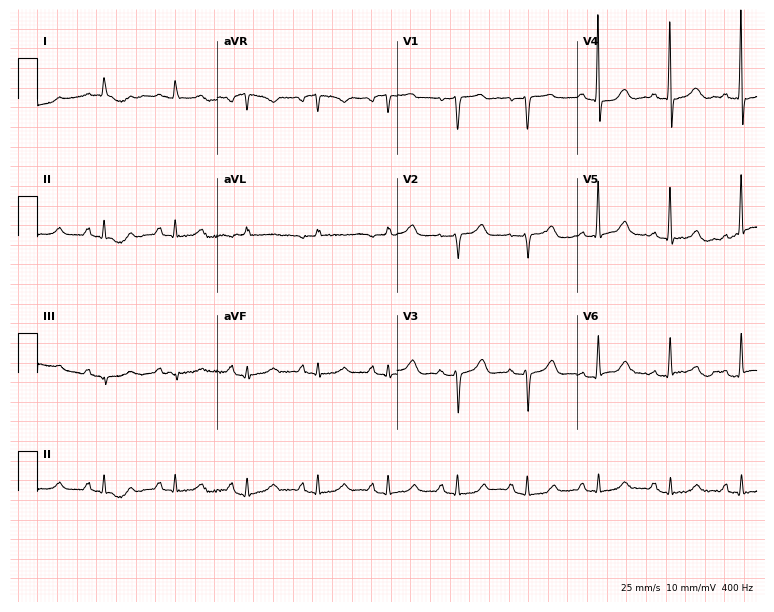
ECG (7.3-second recording at 400 Hz) — a 73-year-old woman. Labelled as a normal ECG.